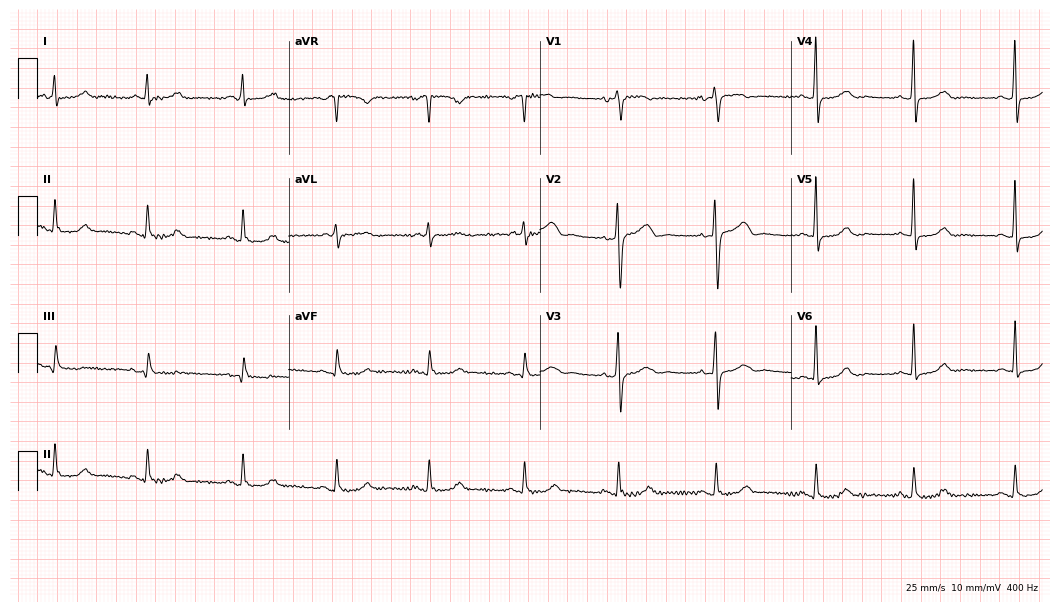
ECG (10.2-second recording at 400 Hz) — a female patient, 85 years old. Labelled as a normal ECG.